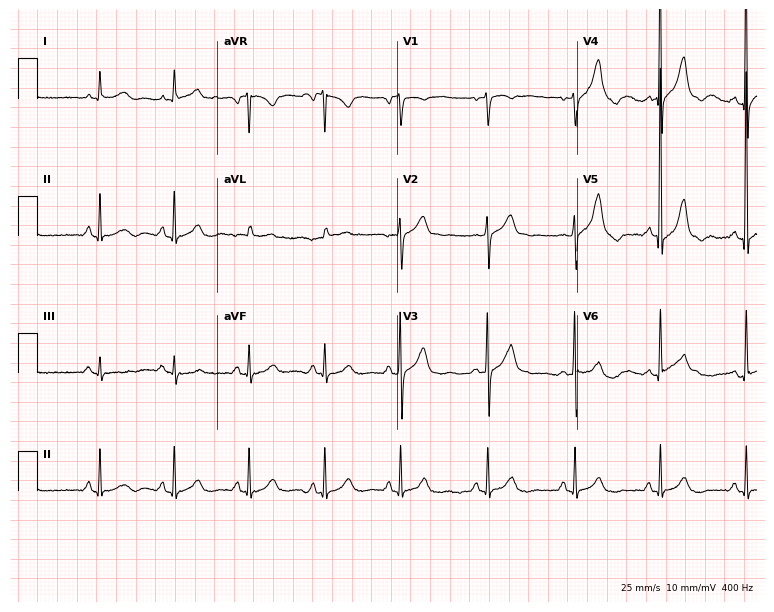
12-lead ECG (7.3-second recording at 400 Hz) from a male patient, 74 years old. Labelled as a normal ECG.